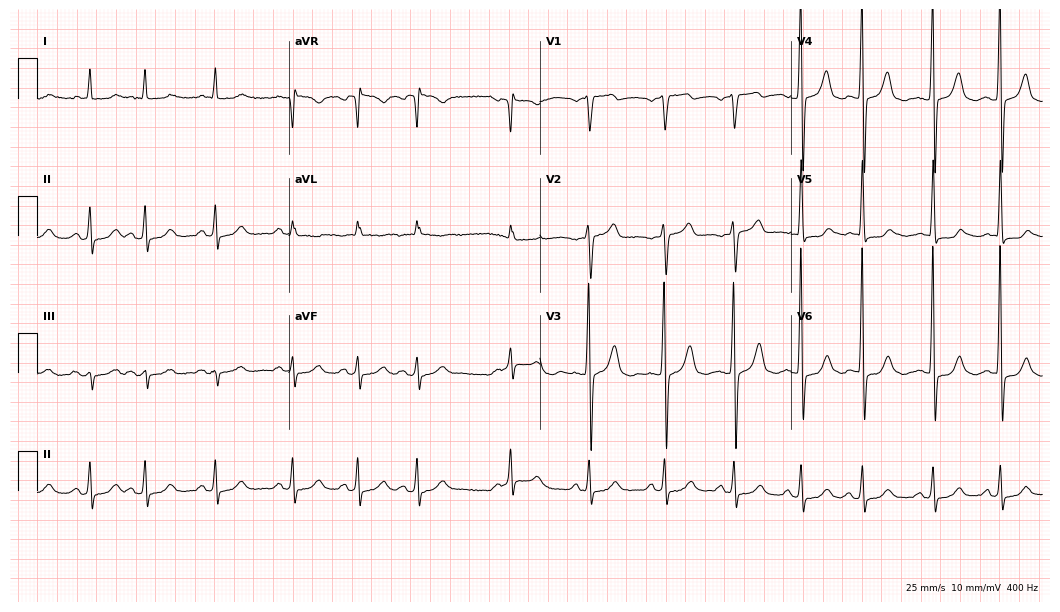
Electrocardiogram, a male patient, 75 years old. Overall reading on record: normal ECG.